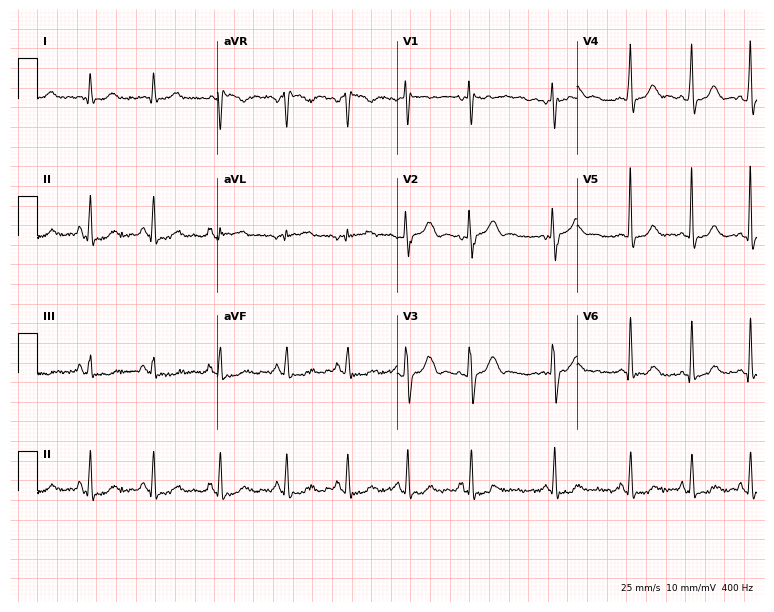
Electrocardiogram (7.3-second recording at 400 Hz), a woman, 31 years old. Of the six screened findings (first-degree AV block, right bundle branch block (RBBB), left bundle branch block (LBBB), sinus bradycardia, atrial fibrillation (AF), sinus tachycardia), none is recorded. Other findings, if any, are not listed.